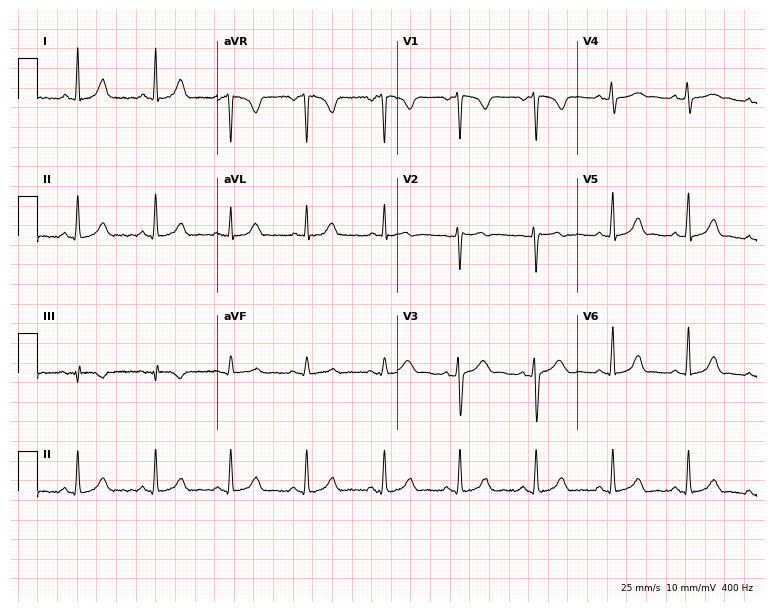
12-lead ECG from a 35-year-old woman. Recorded interpretation: within normal limits.